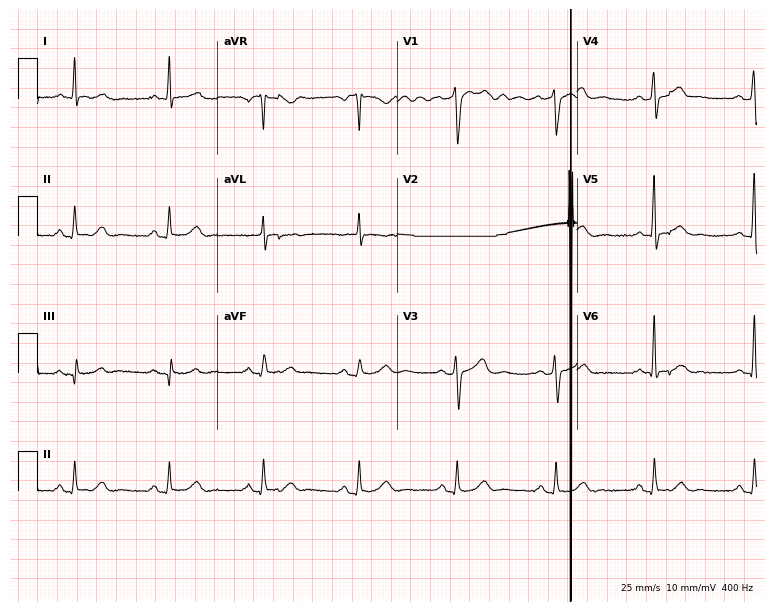
Resting 12-lead electrocardiogram. Patient: a 49-year-old man. None of these six findings is recorded: first-degree AV block, right bundle branch block, left bundle branch block, sinus bradycardia, atrial fibrillation, sinus tachycardia.